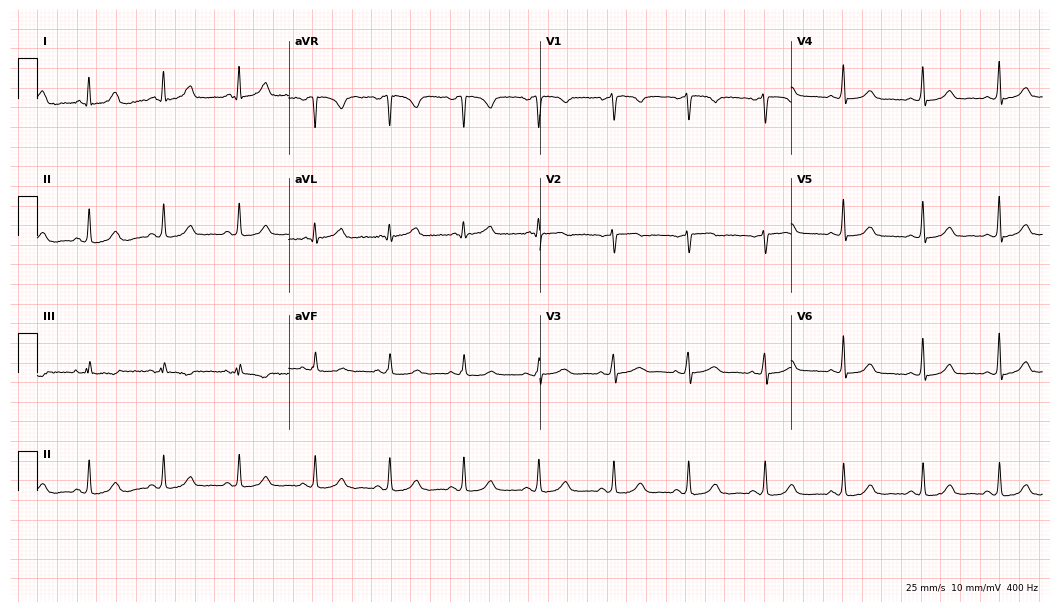
12-lead ECG (10.2-second recording at 400 Hz) from a 36-year-old woman. Labelled as a normal ECG.